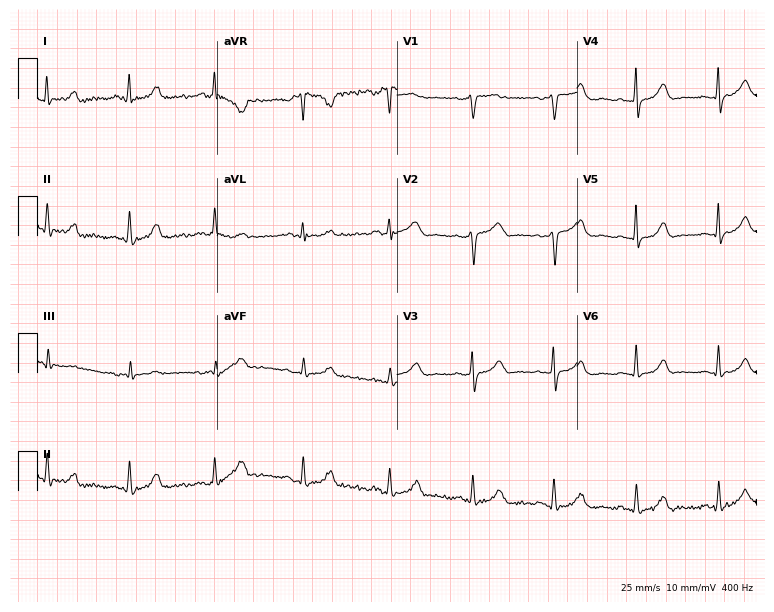
Standard 12-lead ECG recorded from a 56-year-old female patient (7.3-second recording at 400 Hz). None of these six findings is recorded: first-degree AV block, right bundle branch block, left bundle branch block, sinus bradycardia, atrial fibrillation, sinus tachycardia.